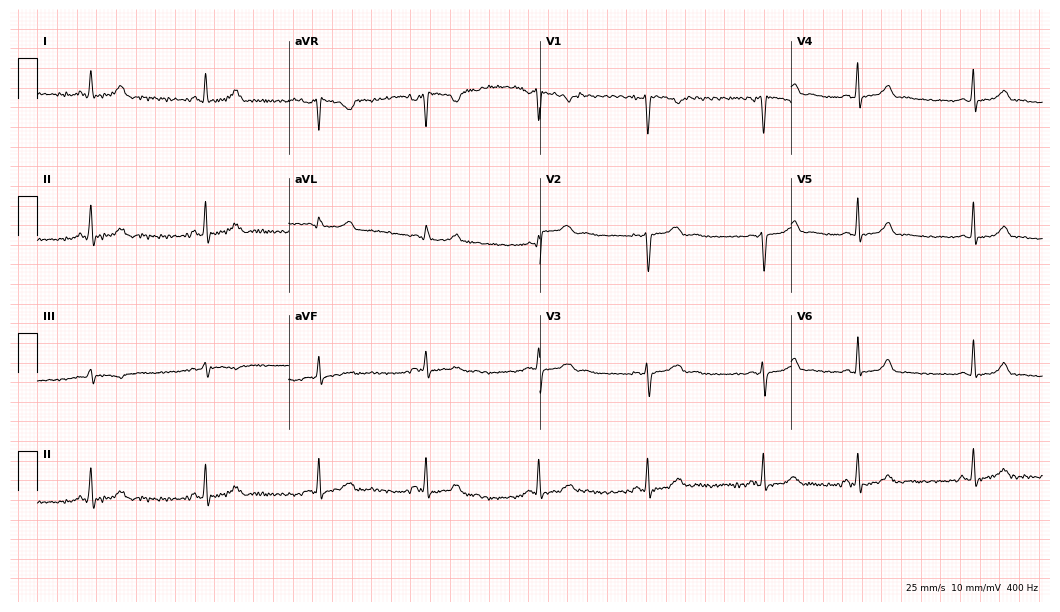
Standard 12-lead ECG recorded from a 31-year-old female patient. Read as a normal ECG.